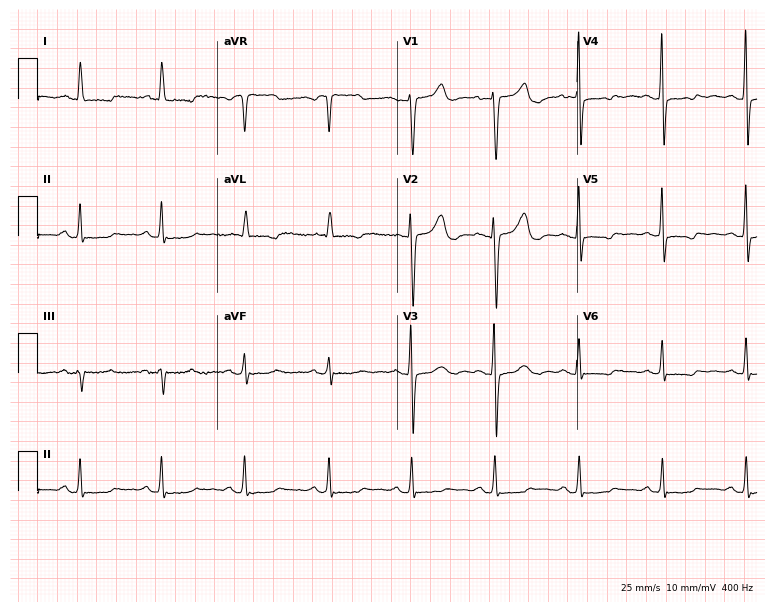
Resting 12-lead electrocardiogram. Patient: a female, 60 years old. None of these six findings is recorded: first-degree AV block, right bundle branch block, left bundle branch block, sinus bradycardia, atrial fibrillation, sinus tachycardia.